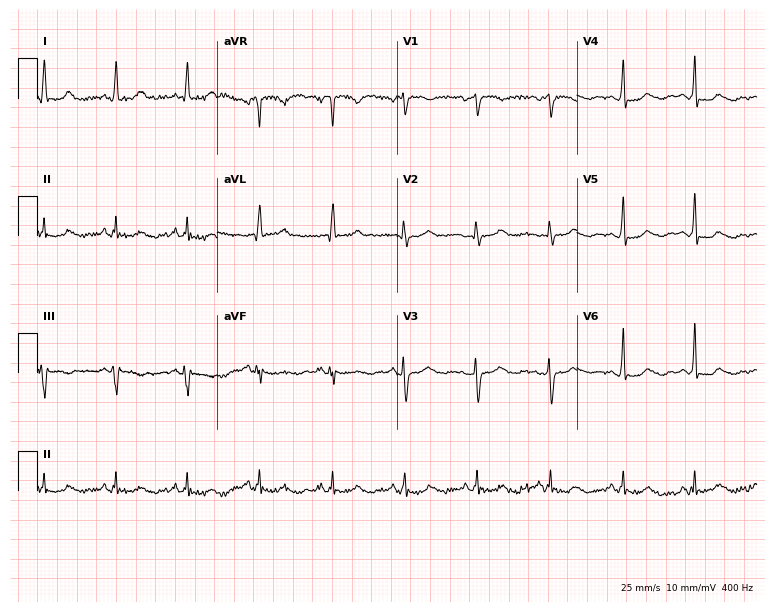
Electrocardiogram (7.3-second recording at 400 Hz), a woman, 69 years old. Of the six screened findings (first-degree AV block, right bundle branch block, left bundle branch block, sinus bradycardia, atrial fibrillation, sinus tachycardia), none is recorded.